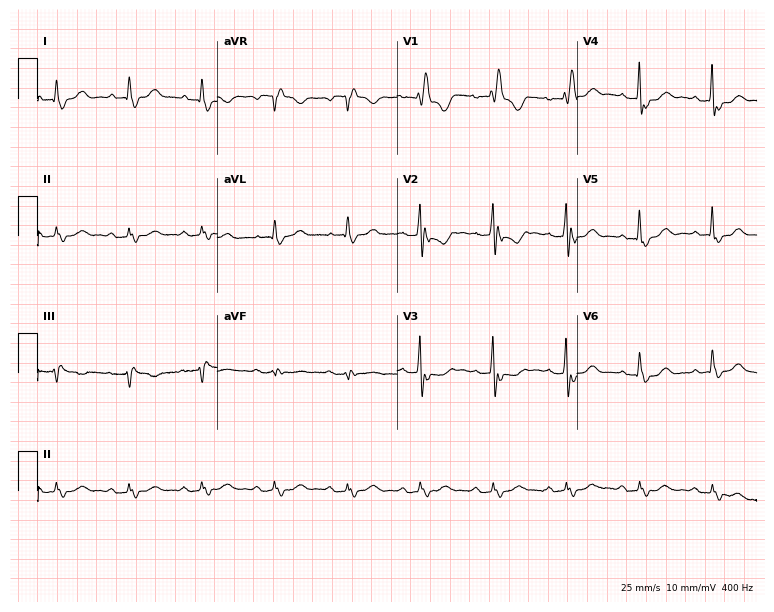
ECG (7.3-second recording at 400 Hz) — a woman, 80 years old. Findings include right bundle branch block (RBBB).